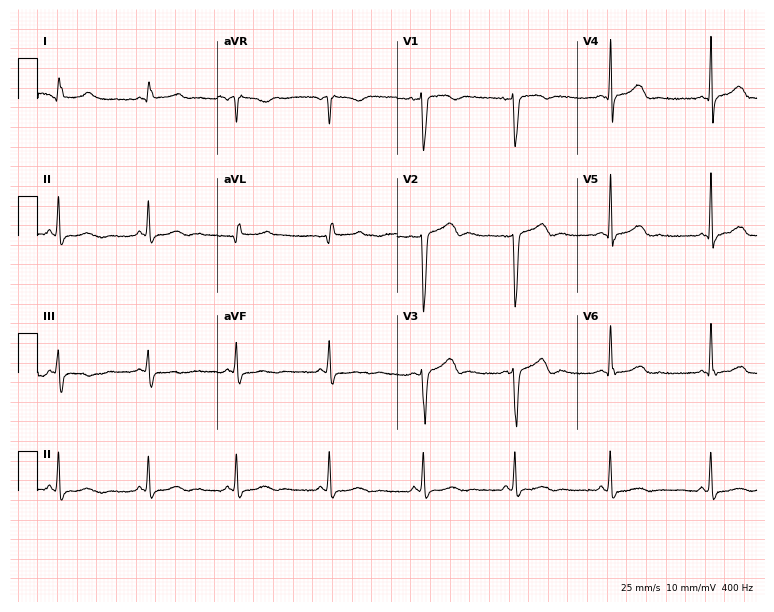
Standard 12-lead ECG recorded from a 39-year-old woman. None of these six findings is recorded: first-degree AV block, right bundle branch block (RBBB), left bundle branch block (LBBB), sinus bradycardia, atrial fibrillation (AF), sinus tachycardia.